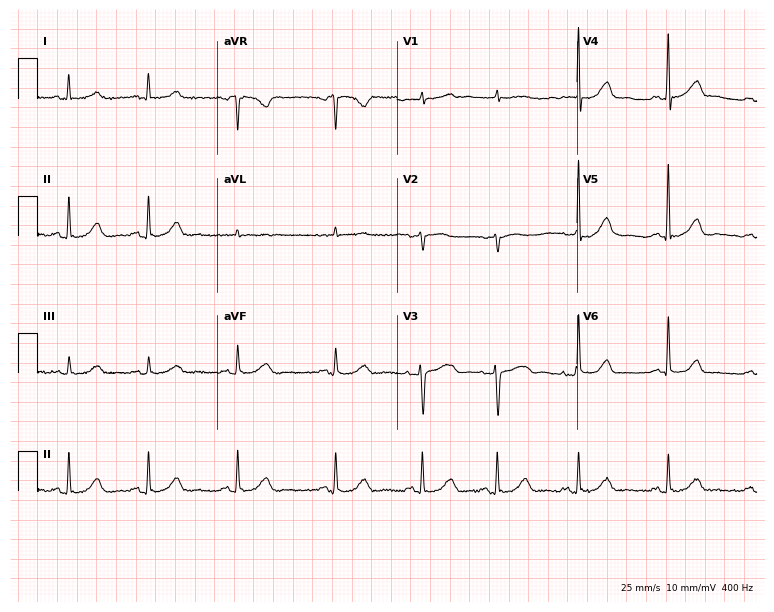
Electrocardiogram (7.3-second recording at 400 Hz), a 79-year-old female patient. Overall reading on record: normal ECG.